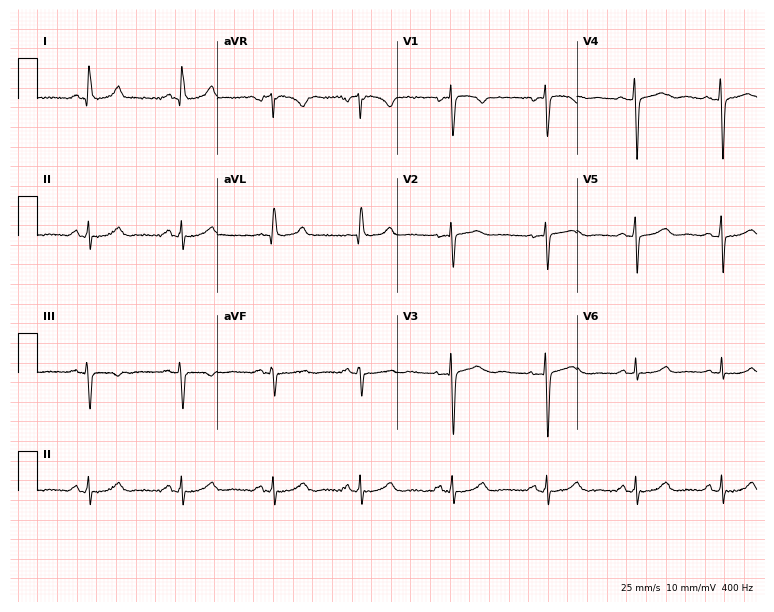
12-lead ECG from a 39-year-old woman. No first-degree AV block, right bundle branch block, left bundle branch block, sinus bradycardia, atrial fibrillation or sinus tachycardia recorded for this tracing. Findings outside these six are not listed.